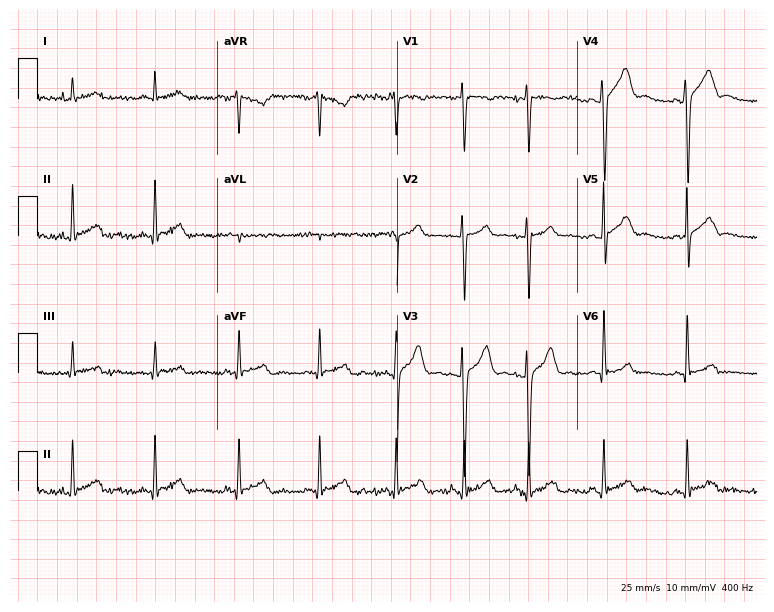
Resting 12-lead electrocardiogram (7.3-second recording at 400 Hz). Patient: a male, 27 years old. None of these six findings is recorded: first-degree AV block, right bundle branch block, left bundle branch block, sinus bradycardia, atrial fibrillation, sinus tachycardia.